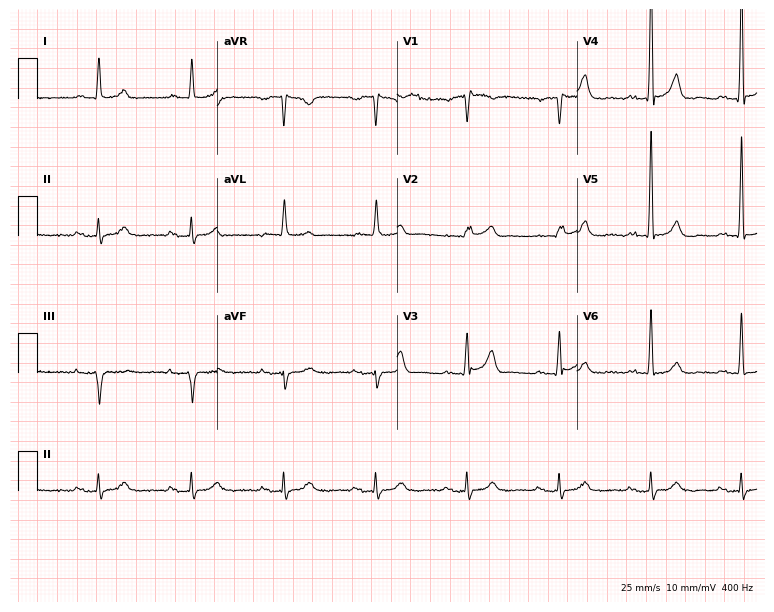
Electrocardiogram (7.3-second recording at 400 Hz), a male, 75 years old. Interpretation includes first-degree AV block.